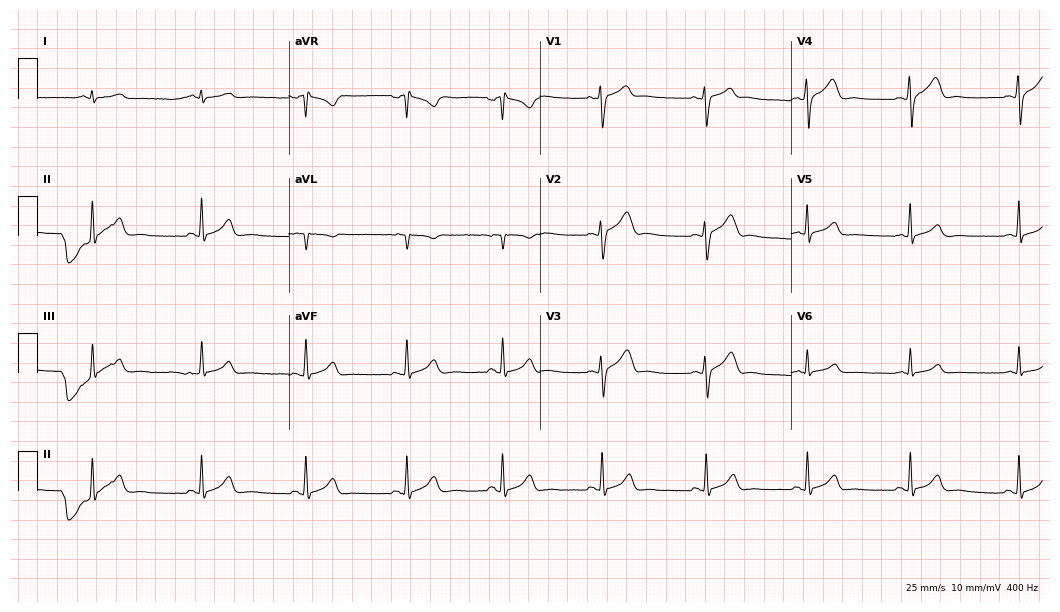
Electrocardiogram, a 26-year-old man. Overall reading on record: normal ECG.